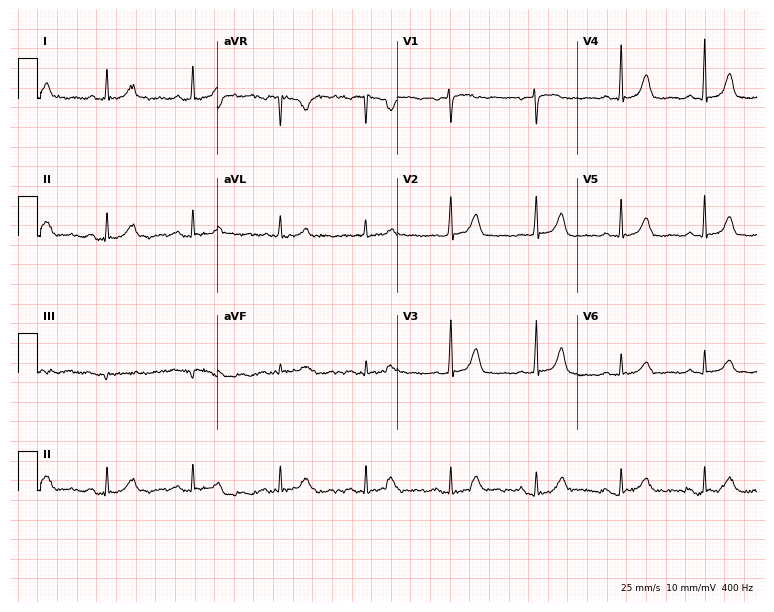
12-lead ECG (7.3-second recording at 400 Hz) from a woman, 69 years old. Screened for six findings — first-degree AV block, right bundle branch block (RBBB), left bundle branch block (LBBB), sinus bradycardia, atrial fibrillation (AF), sinus tachycardia — none is recorded. Other findings, if any, are not listed.